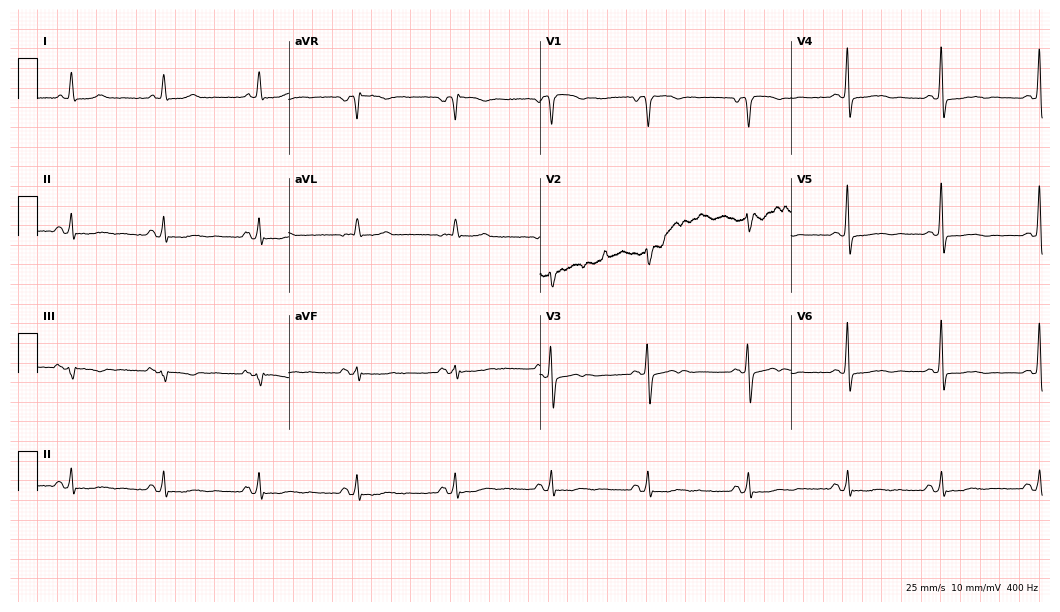
12-lead ECG from a woman, 73 years old (10.2-second recording at 400 Hz). No first-degree AV block, right bundle branch block, left bundle branch block, sinus bradycardia, atrial fibrillation or sinus tachycardia recorded for this tracing. Findings outside these six are not listed.